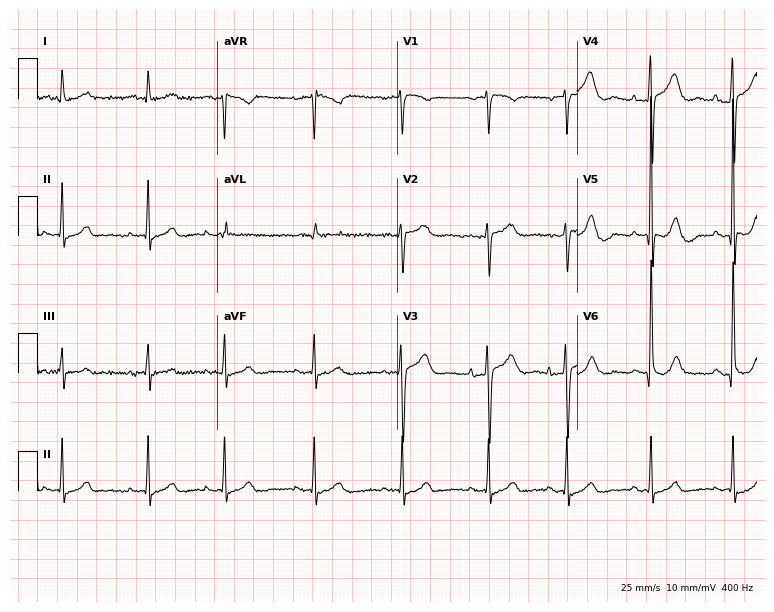
12-lead ECG (7.3-second recording at 400 Hz) from a woman, 87 years old. Labelled as a normal ECG.